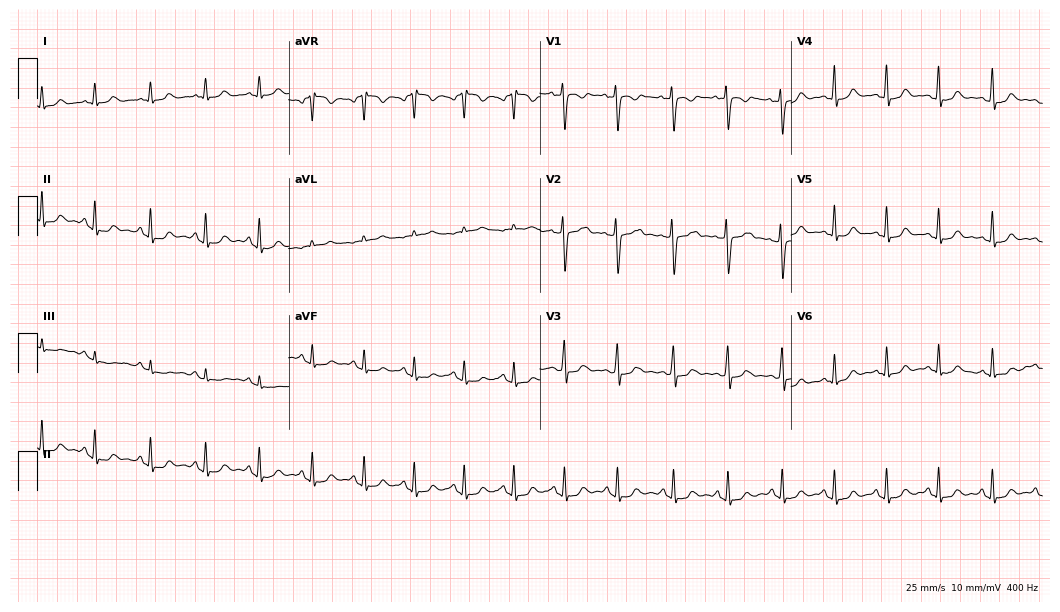
ECG (10.2-second recording at 400 Hz) — a 25-year-old female patient. Findings include sinus tachycardia (a sinus rate of 100 beats per minute or more).